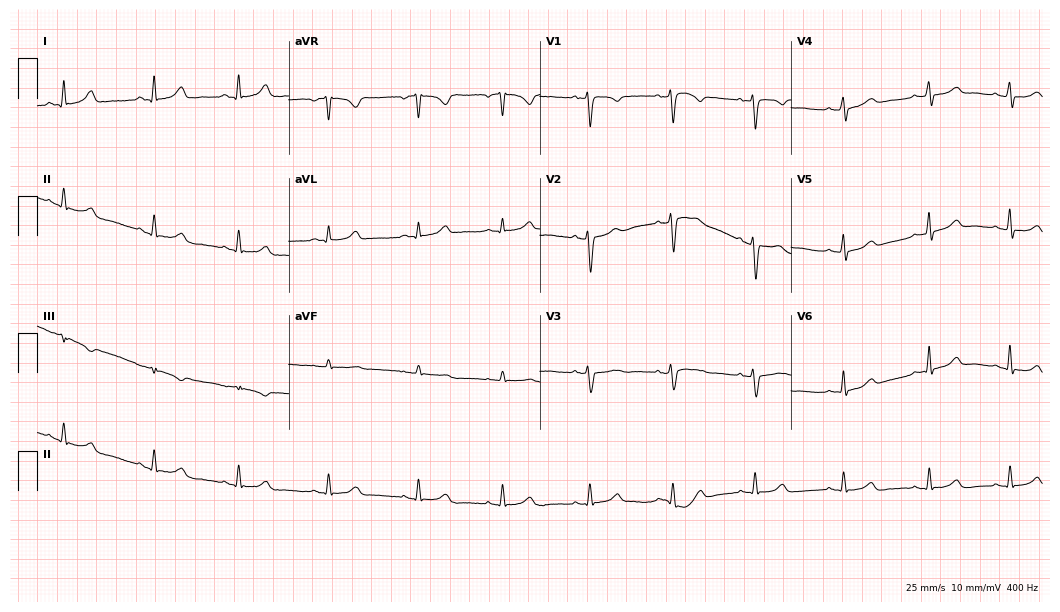
12-lead ECG from a woman, 49 years old. Screened for six findings — first-degree AV block, right bundle branch block, left bundle branch block, sinus bradycardia, atrial fibrillation, sinus tachycardia — none is recorded. Only these six findings were labelled.